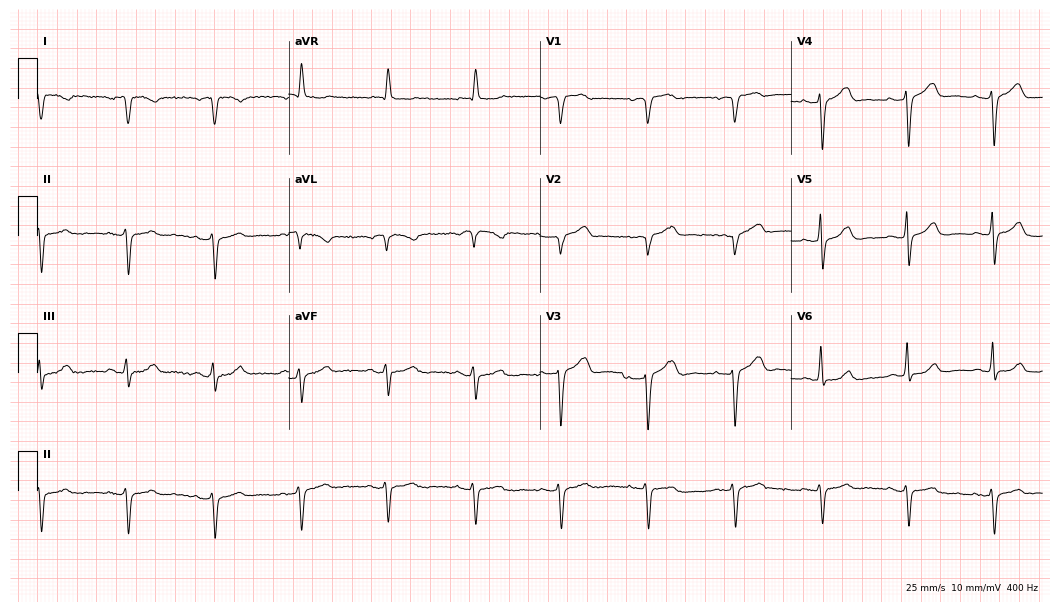
12-lead ECG from an 85-year-old man. No first-degree AV block, right bundle branch block (RBBB), left bundle branch block (LBBB), sinus bradycardia, atrial fibrillation (AF) or sinus tachycardia recorded for this tracing. Only these six findings were labelled.